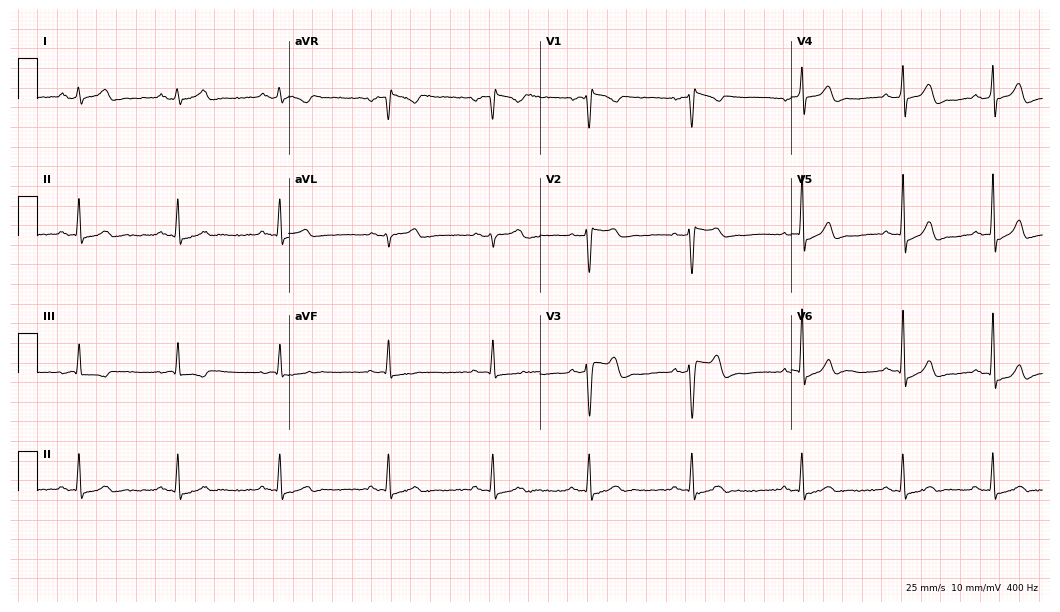
12-lead ECG from a 28-year-old female patient. Screened for six findings — first-degree AV block, right bundle branch block, left bundle branch block, sinus bradycardia, atrial fibrillation, sinus tachycardia — none is recorded.